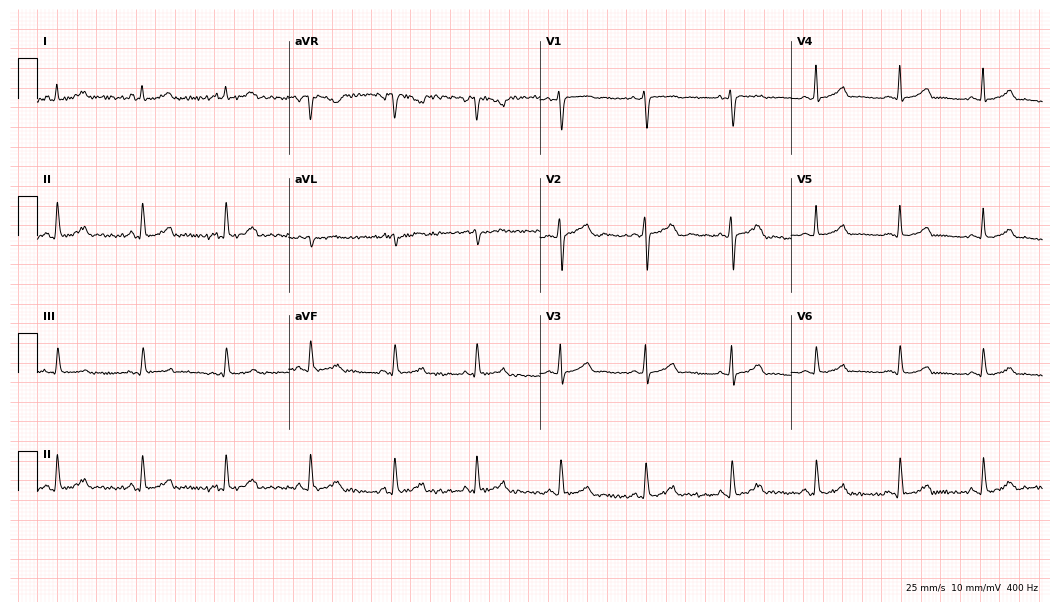
ECG (10.2-second recording at 400 Hz) — a 45-year-old female patient. Labelled as a normal ECG.